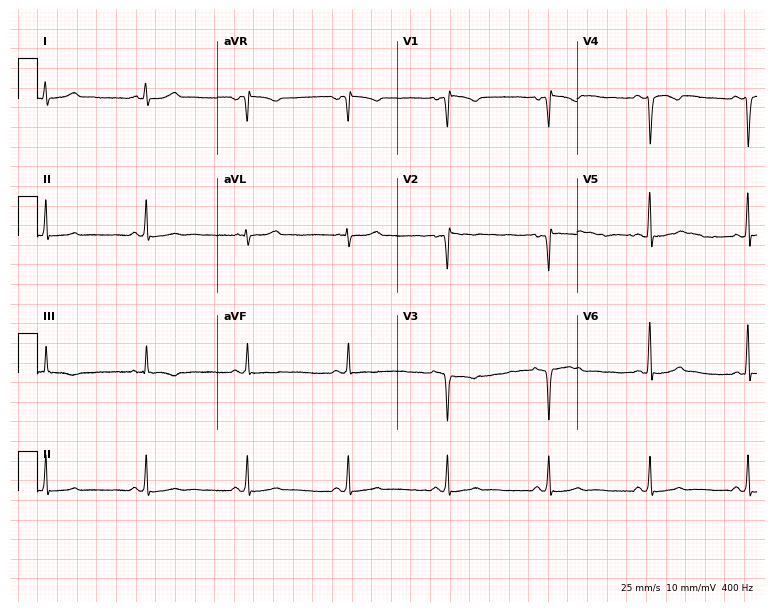
ECG — a 33-year-old female. Screened for six findings — first-degree AV block, right bundle branch block (RBBB), left bundle branch block (LBBB), sinus bradycardia, atrial fibrillation (AF), sinus tachycardia — none is recorded. Findings outside these six are not listed.